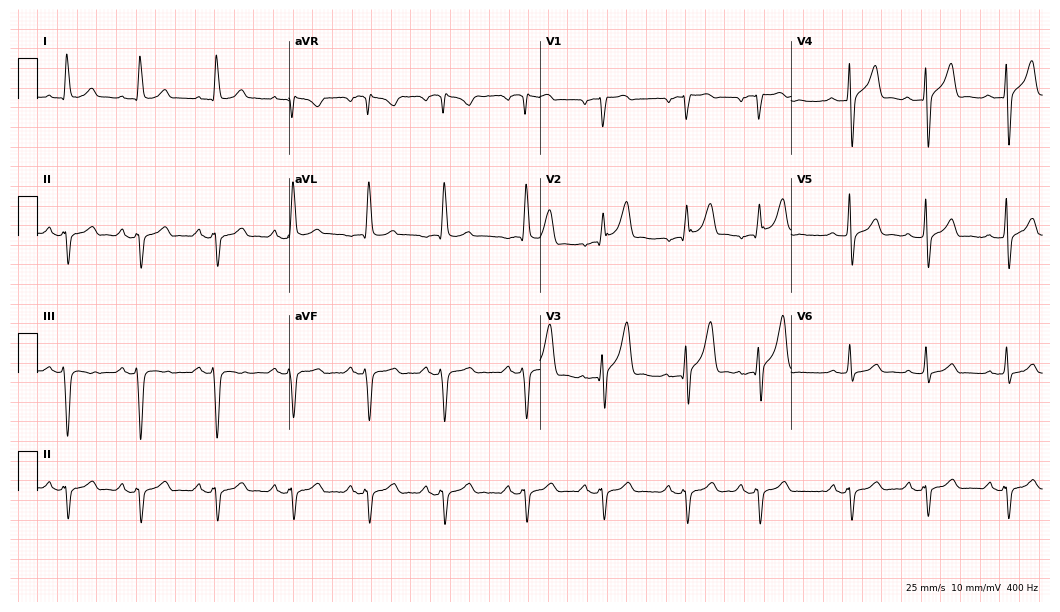
Resting 12-lead electrocardiogram (10.2-second recording at 400 Hz). Patient: a 50-year-old male. None of these six findings is recorded: first-degree AV block, right bundle branch block, left bundle branch block, sinus bradycardia, atrial fibrillation, sinus tachycardia.